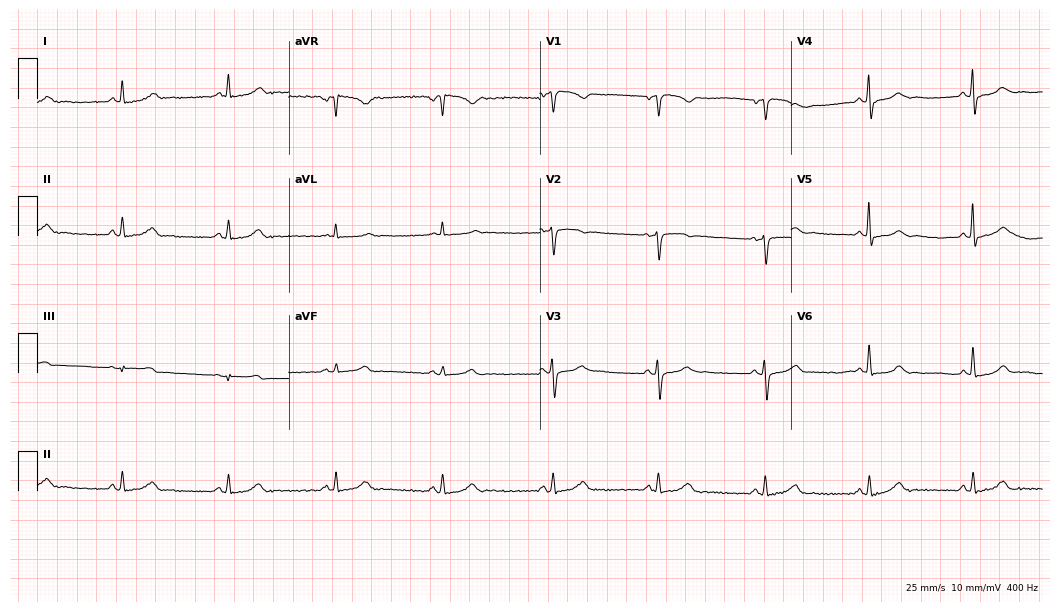
Electrocardiogram, a female, 66 years old. Overall reading on record: normal ECG.